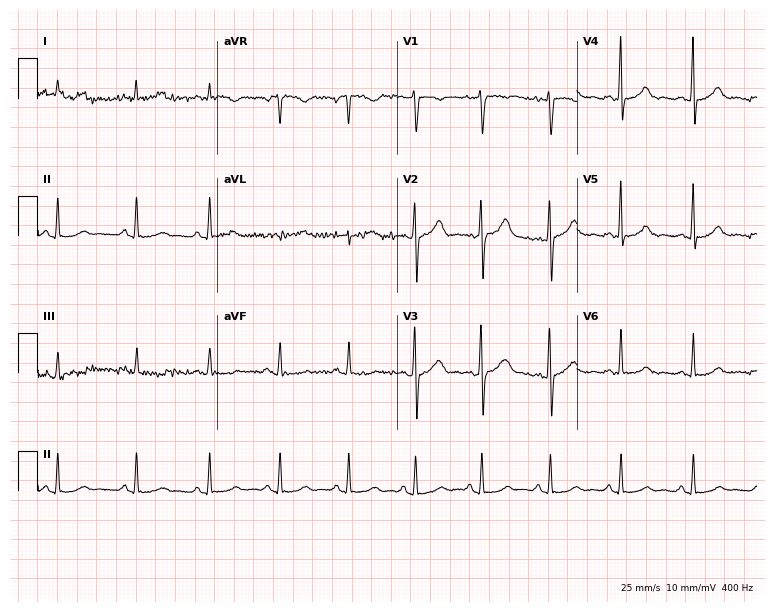
ECG — a female patient, 30 years old. Labelled as a normal ECG.